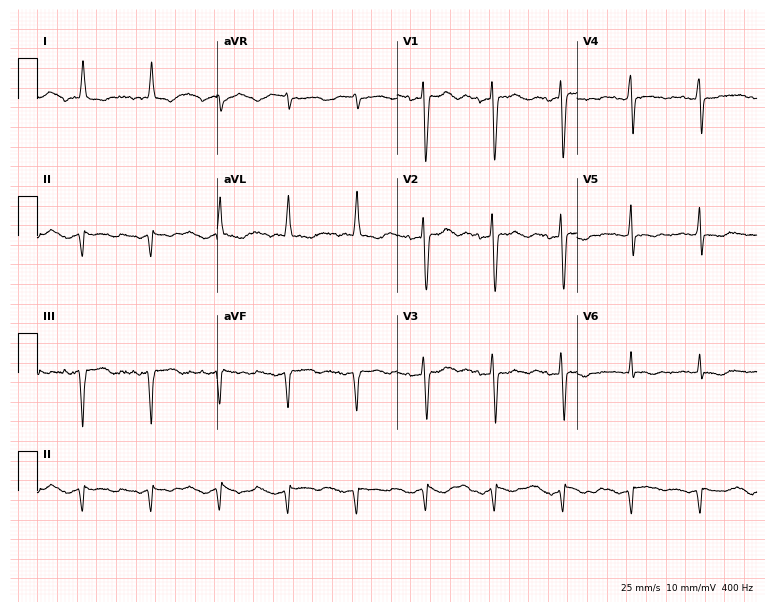
12-lead ECG from a 71-year-old female (7.3-second recording at 400 Hz). No first-degree AV block, right bundle branch block, left bundle branch block, sinus bradycardia, atrial fibrillation or sinus tachycardia recorded for this tracing.